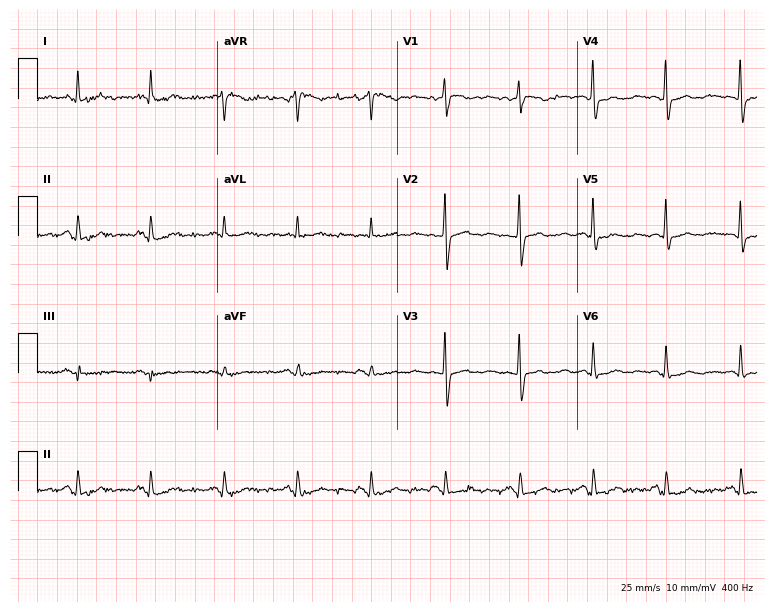
12-lead ECG (7.3-second recording at 400 Hz) from a woman, 78 years old. Screened for six findings — first-degree AV block, right bundle branch block, left bundle branch block, sinus bradycardia, atrial fibrillation, sinus tachycardia — none is recorded.